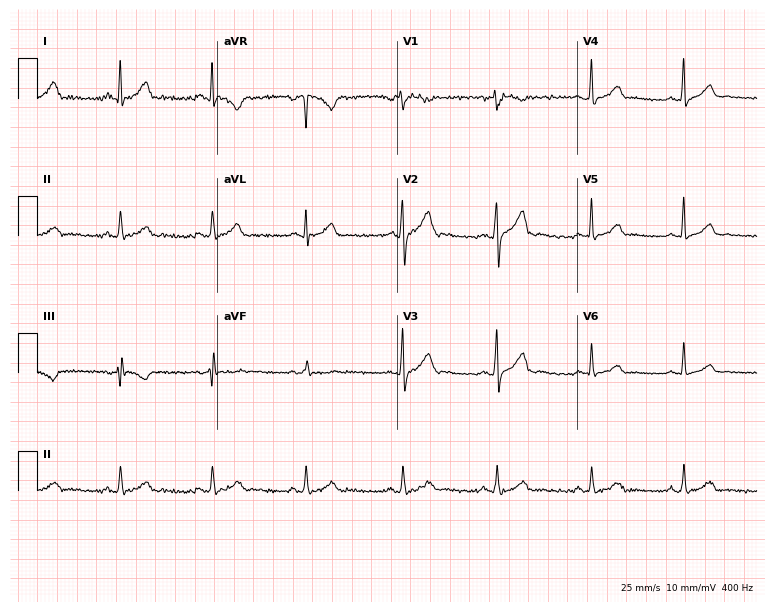
12-lead ECG from a 27-year-old woman. No first-degree AV block, right bundle branch block (RBBB), left bundle branch block (LBBB), sinus bradycardia, atrial fibrillation (AF) or sinus tachycardia recorded for this tracing. Findings outside these six are not listed.